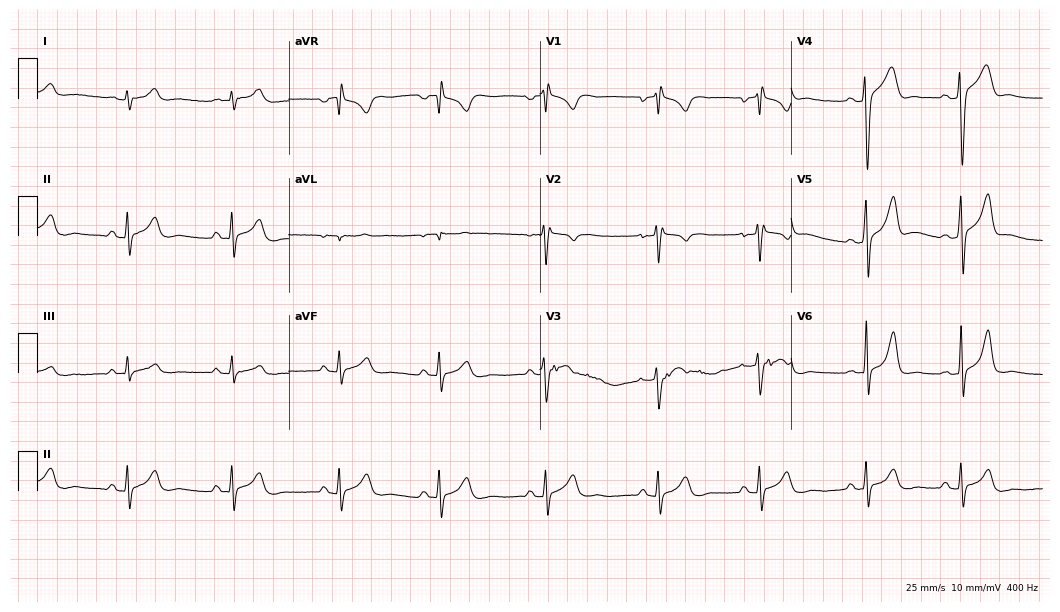
Electrocardiogram, a 25-year-old male patient. Of the six screened findings (first-degree AV block, right bundle branch block, left bundle branch block, sinus bradycardia, atrial fibrillation, sinus tachycardia), none is recorded.